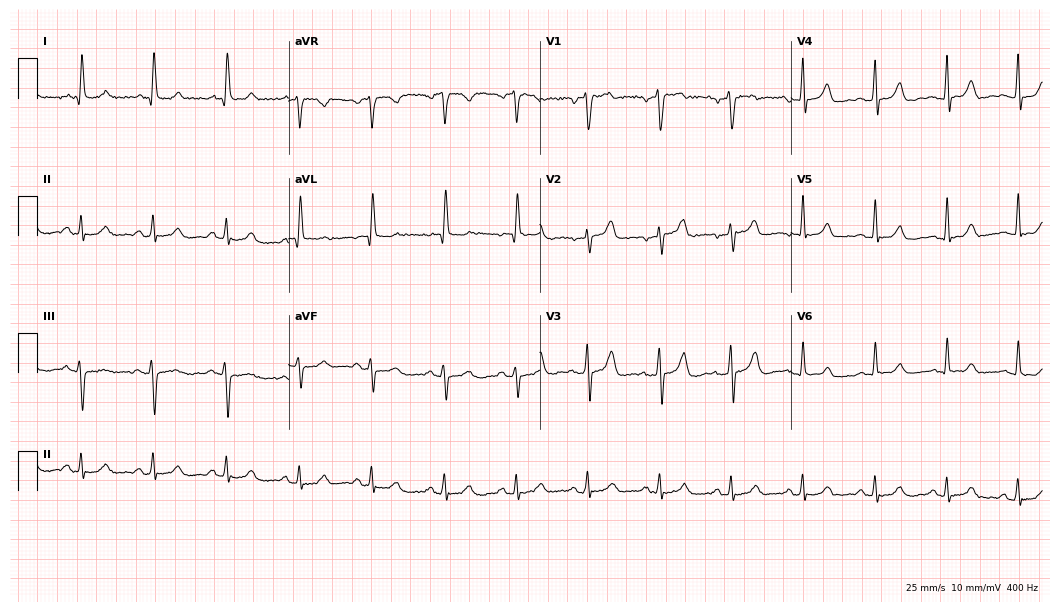
12-lead ECG from a 40-year-old man. Recorded interpretation: within normal limits.